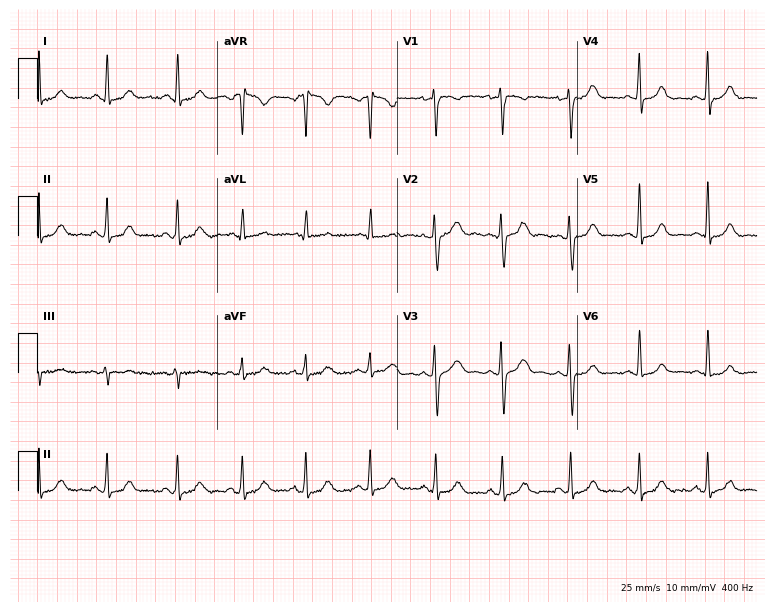
Resting 12-lead electrocardiogram. Patient: a female, 26 years old. Read as a normal ECG.